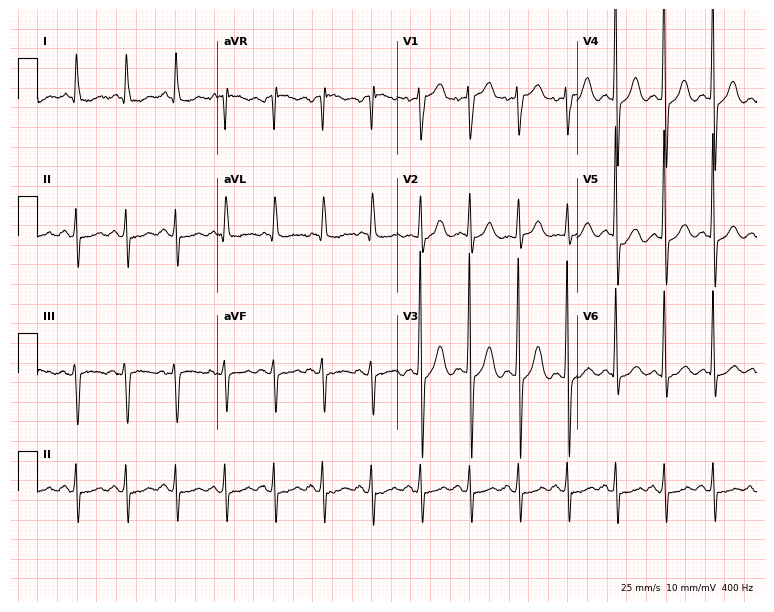
12-lead ECG from a 74-year-old male patient (7.3-second recording at 400 Hz). Shows sinus tachycardia (a sinus rate of 100 beats per minute or more).